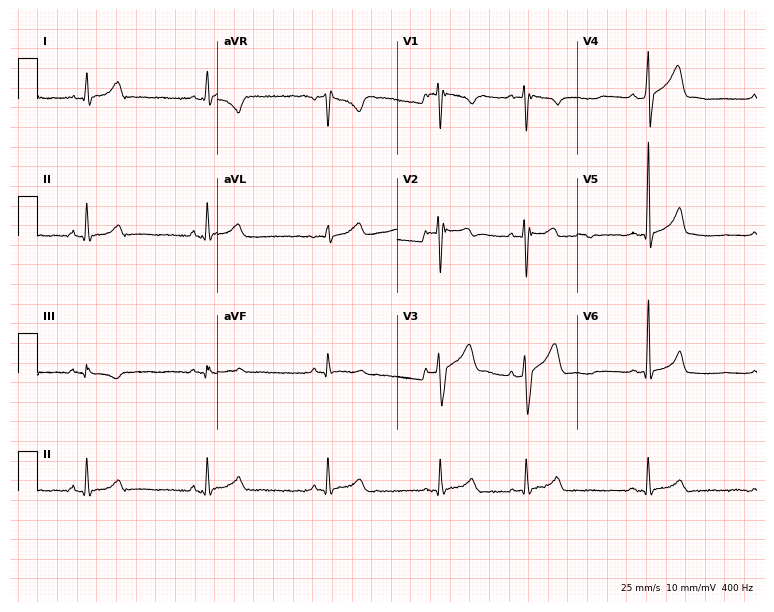
12-lead ECG from a 21-year-old male patient (7.3-second recording at 400 Hz). No first-degree AV block, right bundle branch block, left bundle branch block, sinus bradycardia, atrial fibrillation or sinus tachycardia recorded for this tracing.